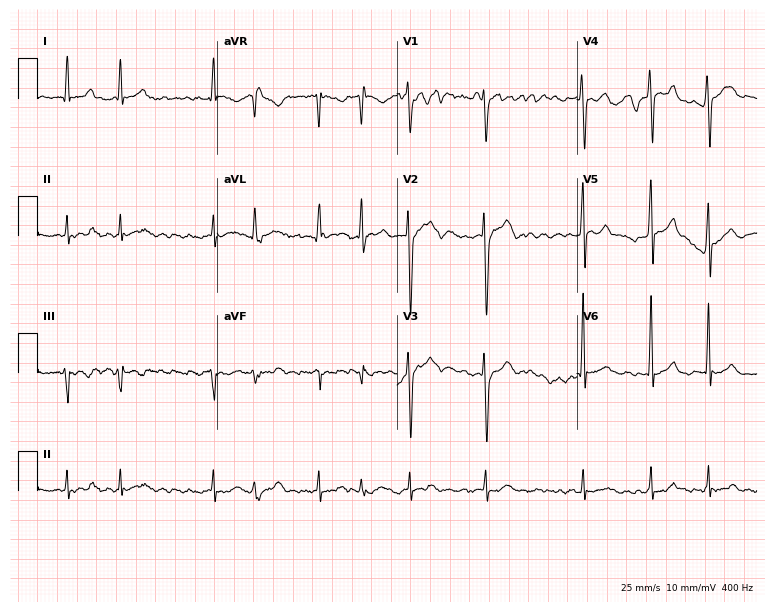
12-lead ECG (7.3-second recording at 400 Hz) from a man, 40 years old. Findings include atrial fibrillation (AF).